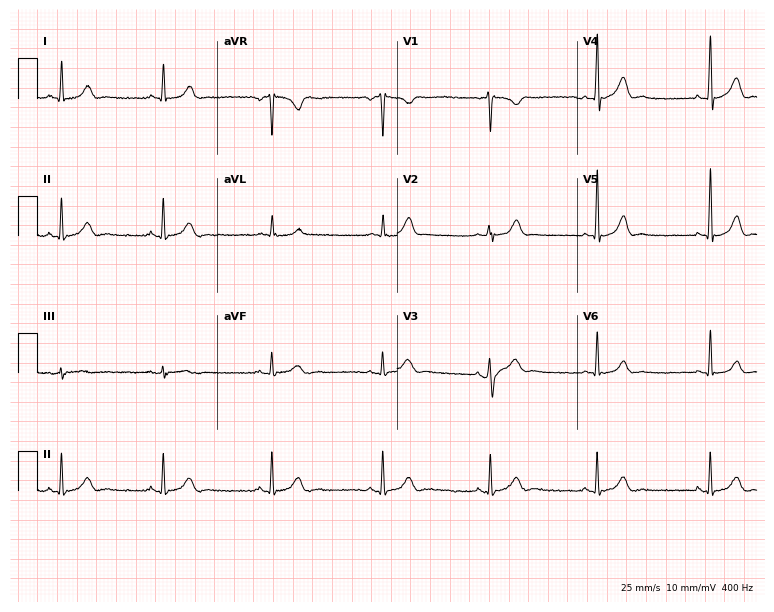
ECG (7.3-second recording at 400 Hz) — a 24-year-old male patient. Labelled as a normal ECG.